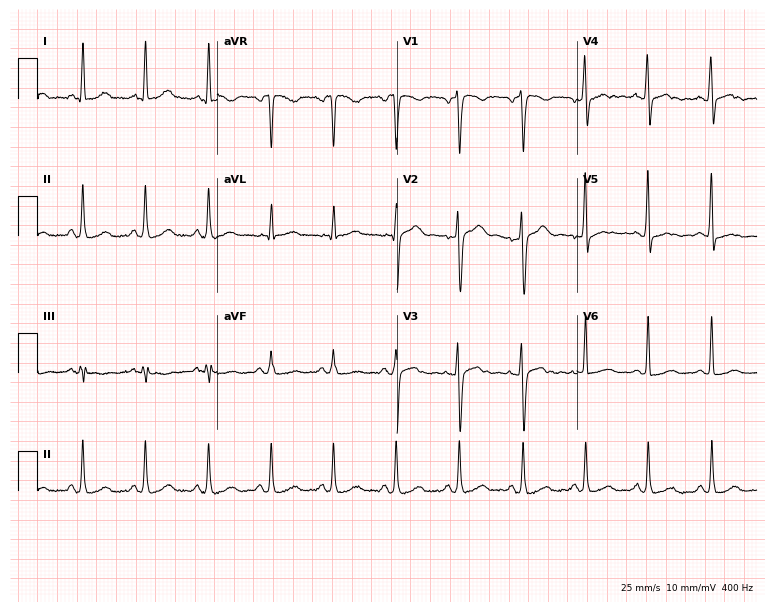
12-lead ECG from a 48-year-old female (7.3-second recording at 400 Hz). No first-degree AV block, right bundle branch block, left bundle branch block, sinus bradycardia, atrial fibrillation or sinus tachycardia recorded for this tracing. Findings outside these six are not listed.